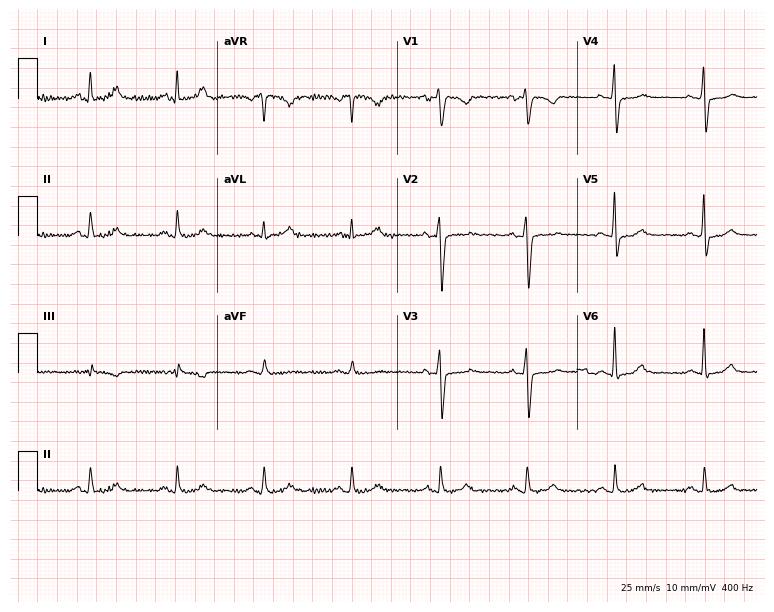
12-lead ECG from a male patient, 48 years old. Screened for six findings — first-degree AV block, right bundle branch block (RBBB), left bundle branch block (LBBB), sinus bradycardia, atrial fibrillation (AF), sinus tachycardia — none is recorded.